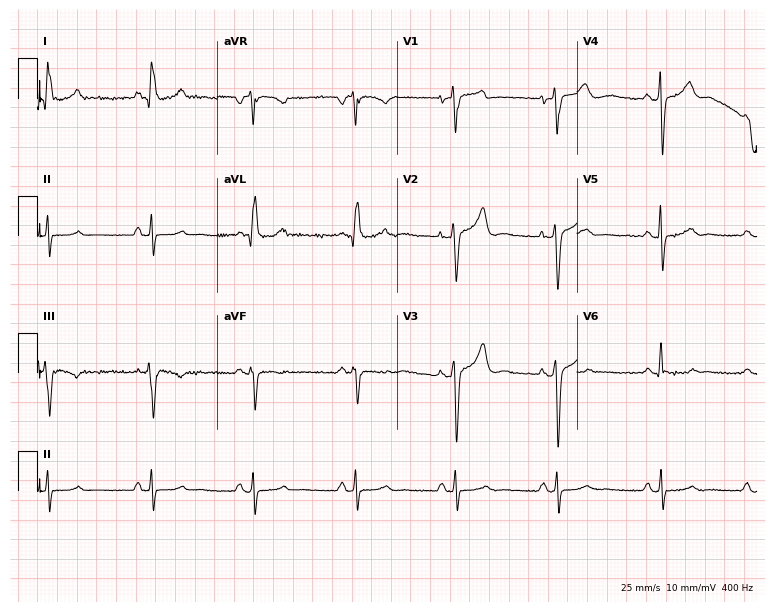
Resting 12-lead electrocardiogram. Patient: a 70-year-old male. Read as a normal ECG.